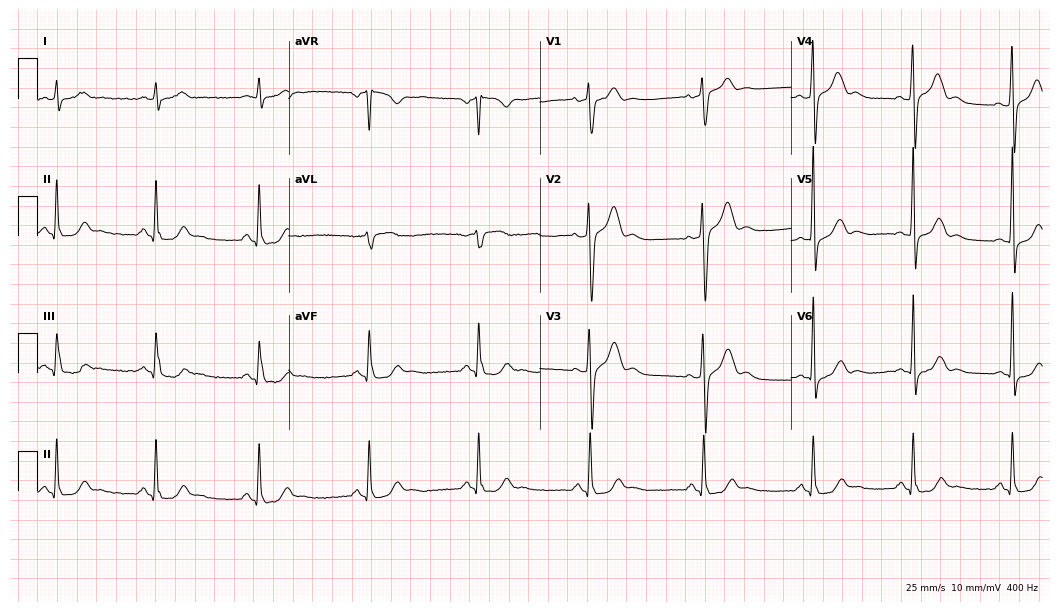
Resting 12-lead electrocardiogram. Patient: a man, 48 years old. Read as a normal ECG.